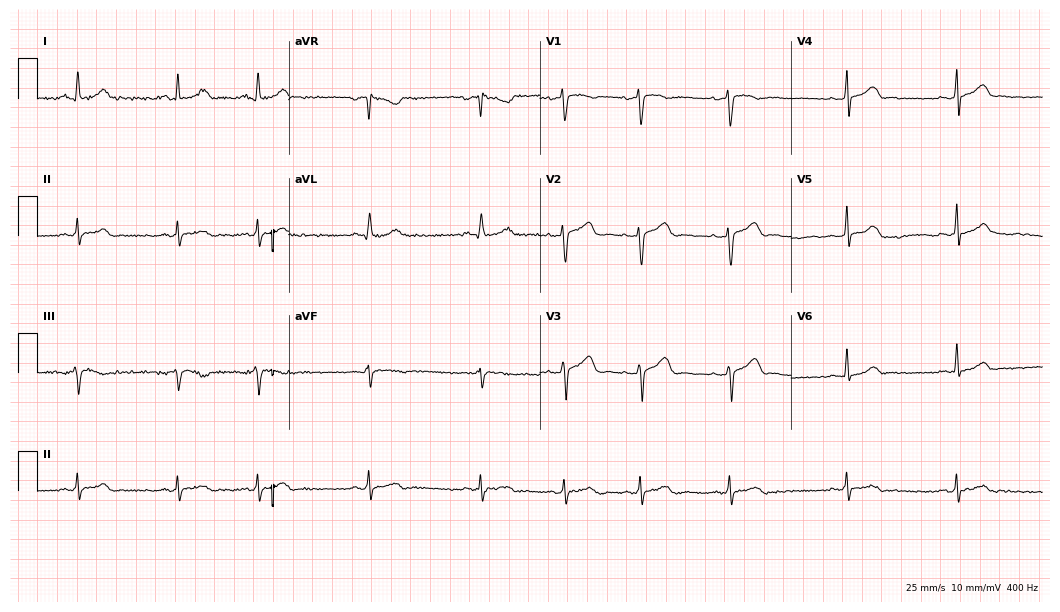
Electrocardiogram (10.2-second recording at 400 Hz), a 24-year-old female patient. Overall reading on record: normal ECG.